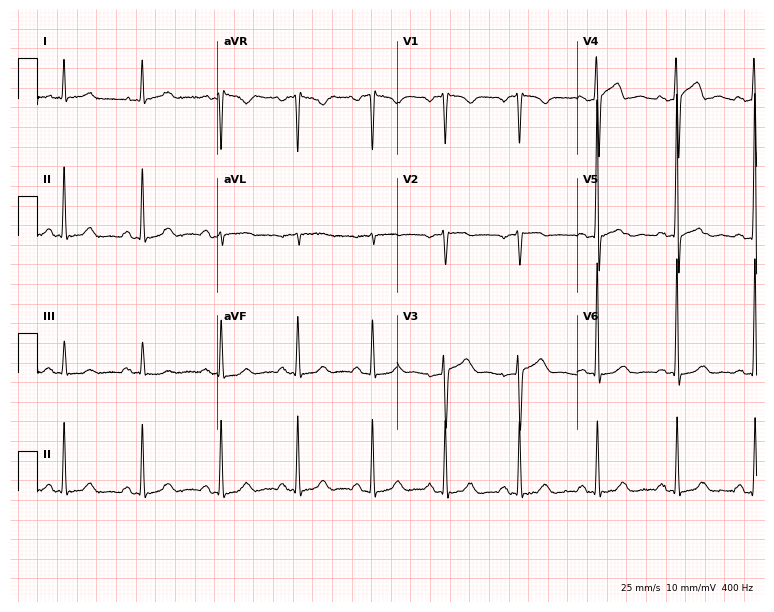
Electrocardiogram (7.3-second recording at 400 Hz), a 55-year-old man. Overall reading on record: normal ECG.